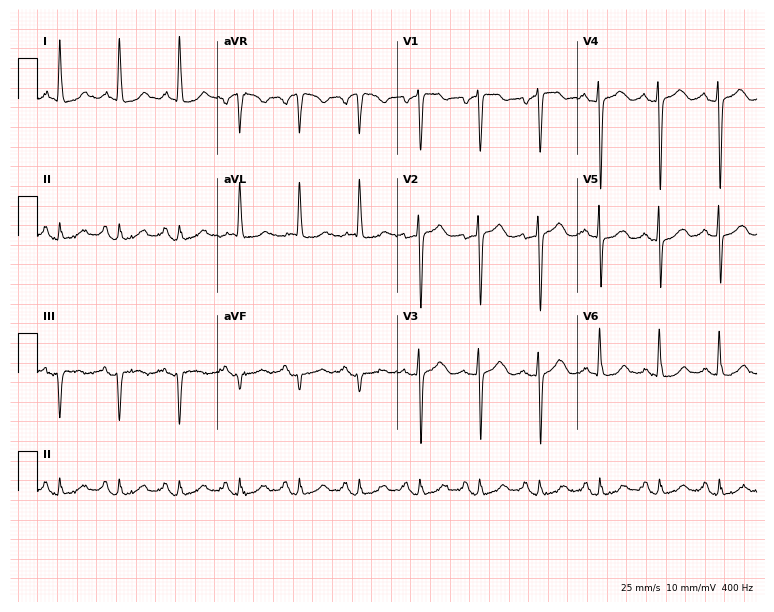
Resting 12-lead electrocardiogram (7.3-second recording at 400 Hz). Patient: an 80-year-old woman. Read as a normal ECG.